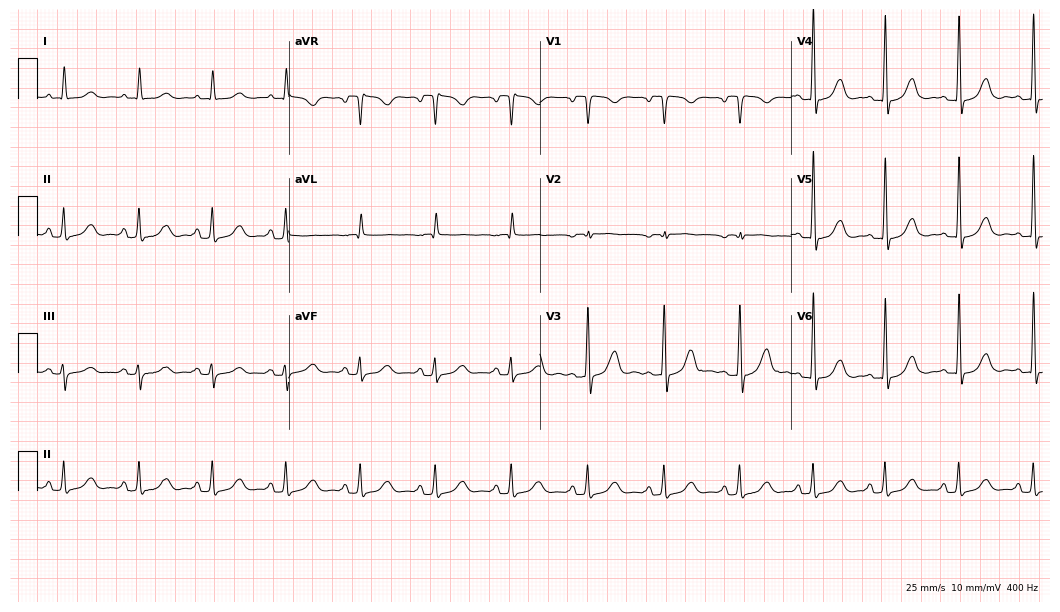
Standard 12-lead ECG recorded from a woman, 70 years old. Read as a normal ECG.